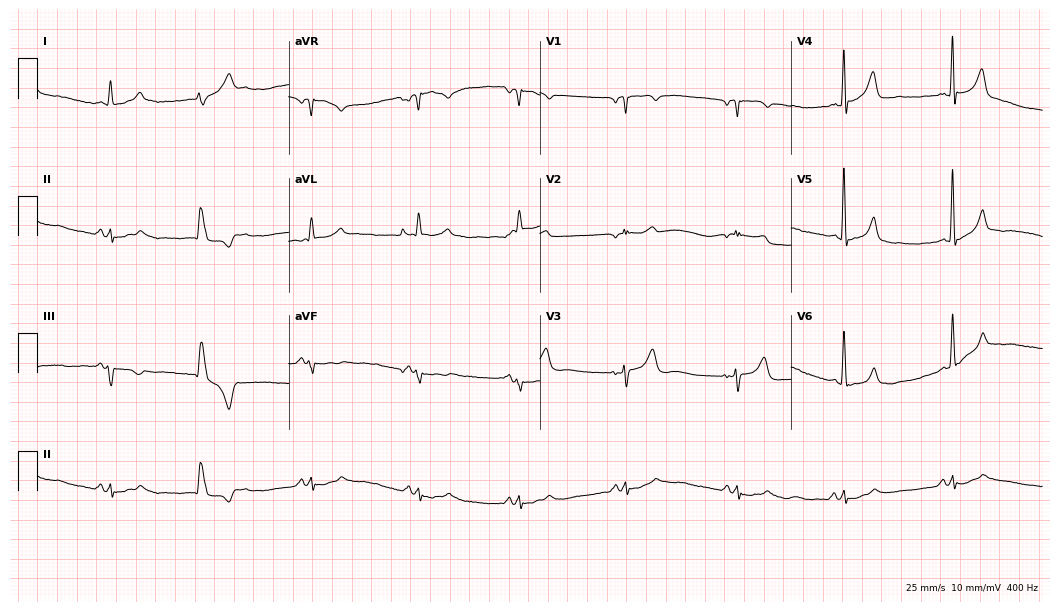
ECG — a male, 71 years old. Screened for six findings — first-degree AV block, right bundle branch block (RBBB), left bundle branch block (LBBB), sinus bradycardia, atrial fibrillation (AF), sinus tachycardia — none is recorded. Findings outside these six are not listed.